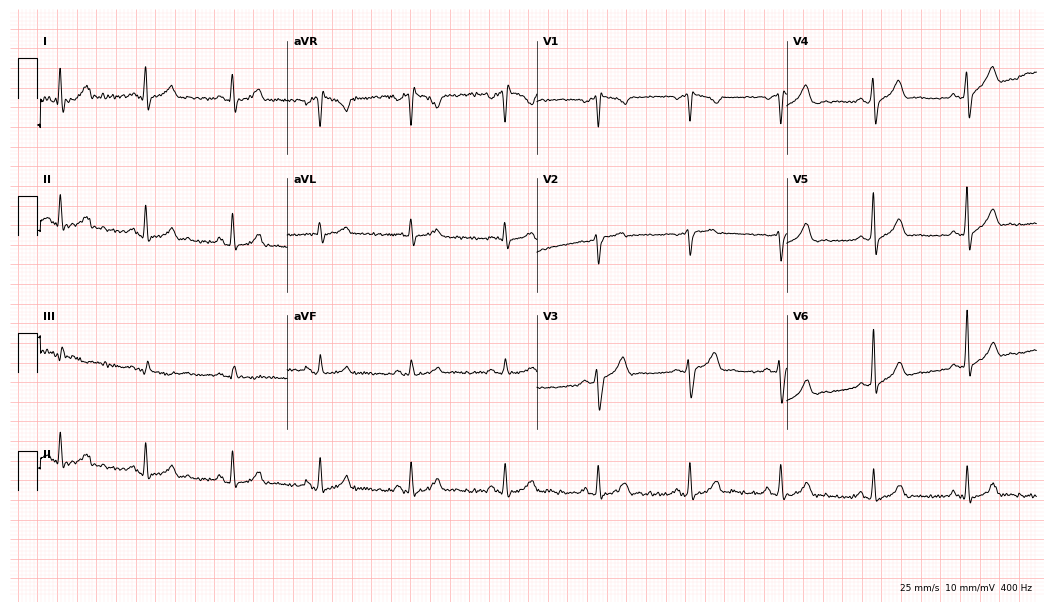
Electrocardiogram (10.2-second recording at 400 Hz), a 35-year-old male. Of the six screened findings (first-degree AV block, right bundle branch block, left bundle branch block, sinus bradycardia, atrial fibrillation, sinus tachycardia), none is recorded.